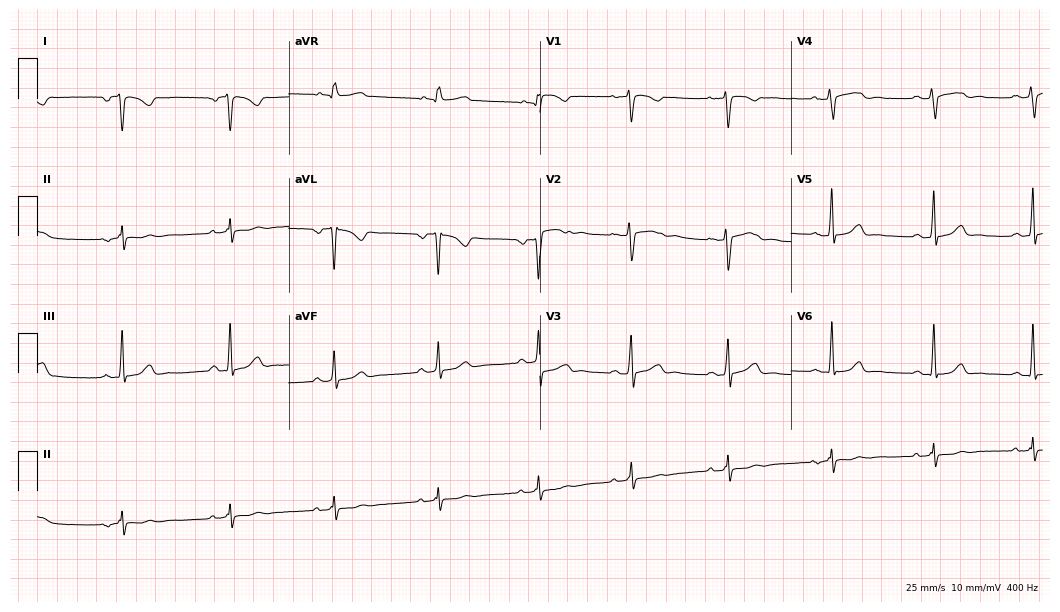
Electrocardiogram, a 23-year-old female patient. Of the six screened findings (first-degree AV block, right bundle branch block (RBBB), left bundle branch block (LBBB), sinus bradycardia, atrial fibrillation (AF), sinus tachycardia), none is recorded.